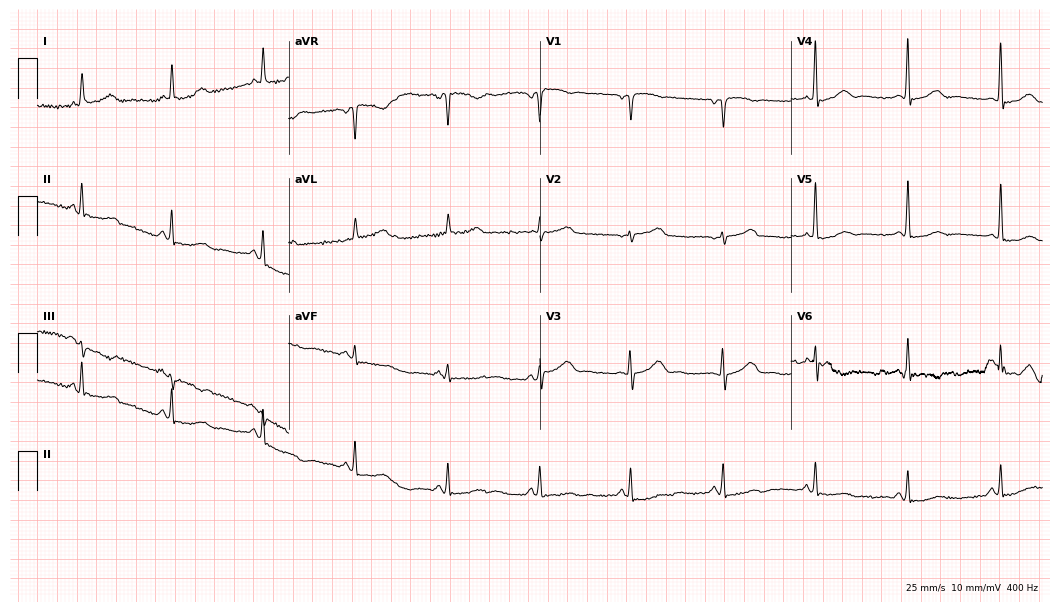
ECG — a 70-year-old woman. Screened for six findings — first-degree AV block, right bundle branch block, left bundle branch block, sinus bradycardia, atrial fibrillation, sinus tachycardia — none is recorded. Findings outside these six are not listed.